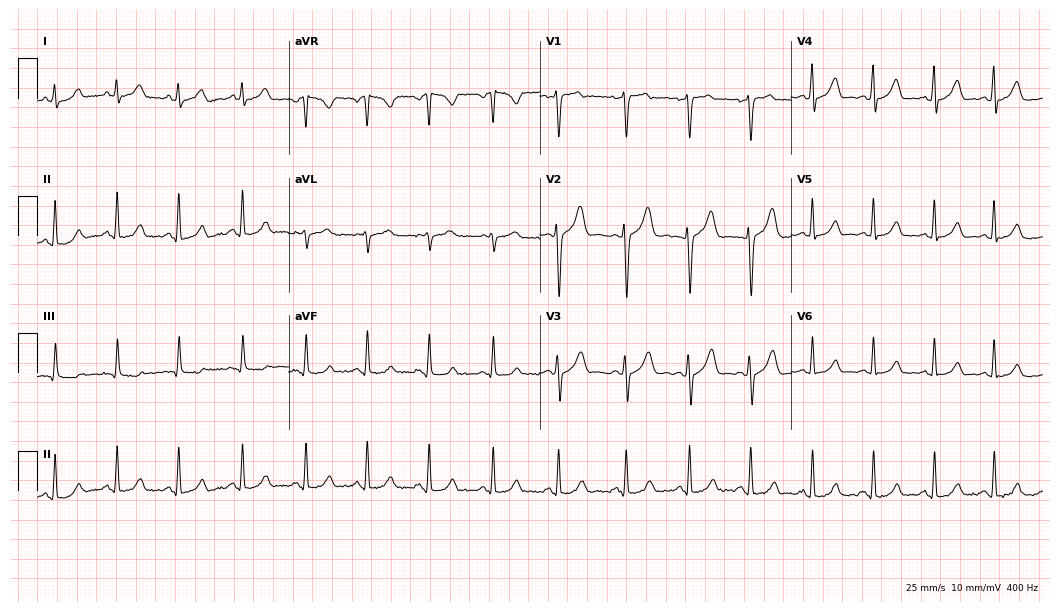
12-lead ECG from a female, 23 years old (10.2-second recording at 400 Hz). Recorded interpretation: within normal limits.